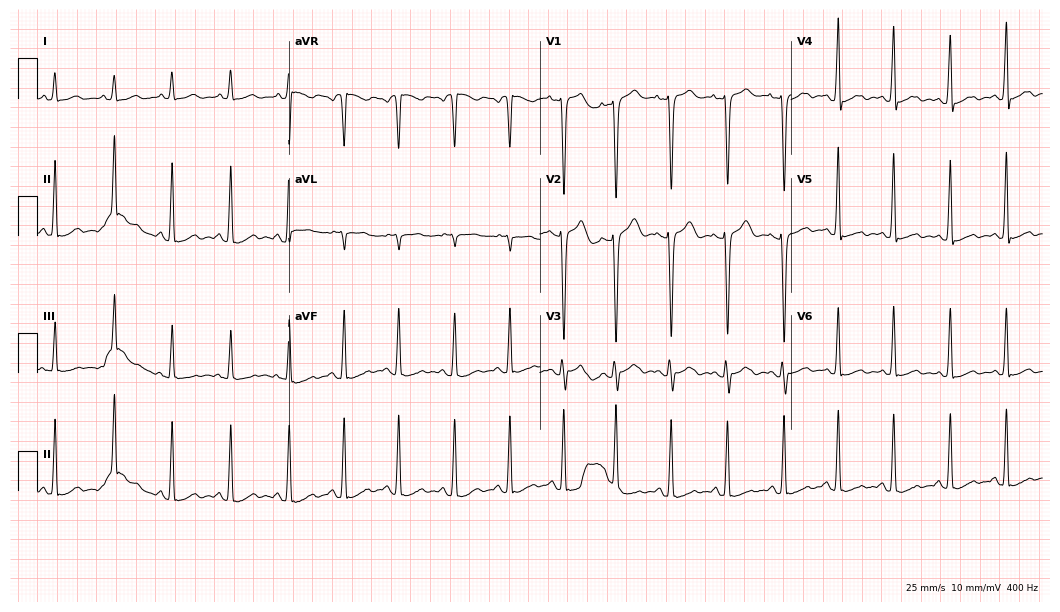
Standard 12-lead ECG recorded from a female patient, 25 years old (10.2-second recording at 400 Hz). None of these six findings is recorded: first-degree AV block, right bundle branch block (RBBB), left bundle branch block (LBBB), sinus bradycardia, atrial fibrillation (AF), sinus tachycardia. Other findings, if any, are not listed.